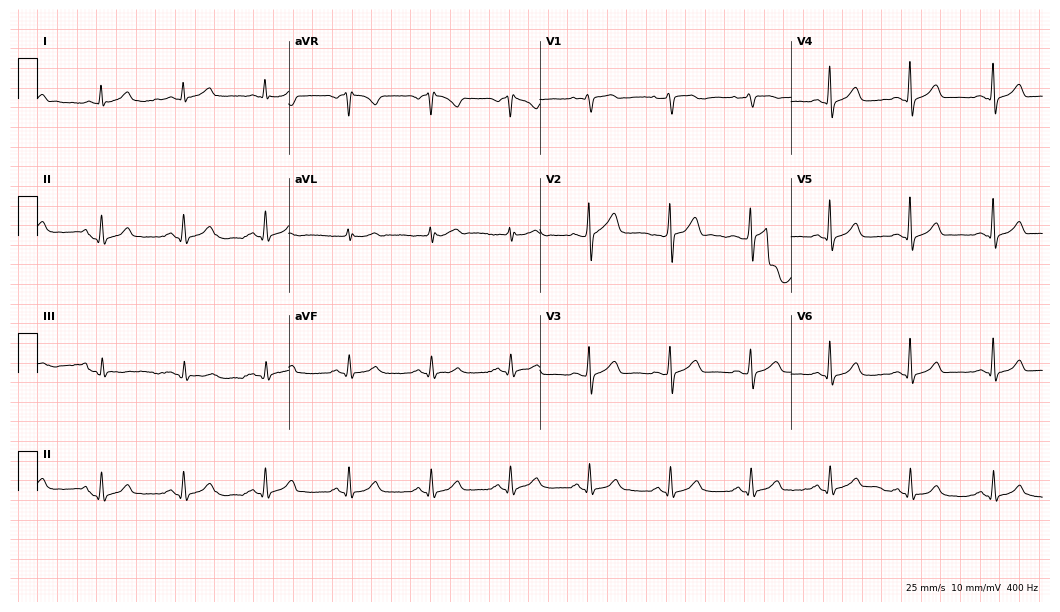
Electrocardiogram, a female patient, 48 years old. Overall reading on record: normal ECG.